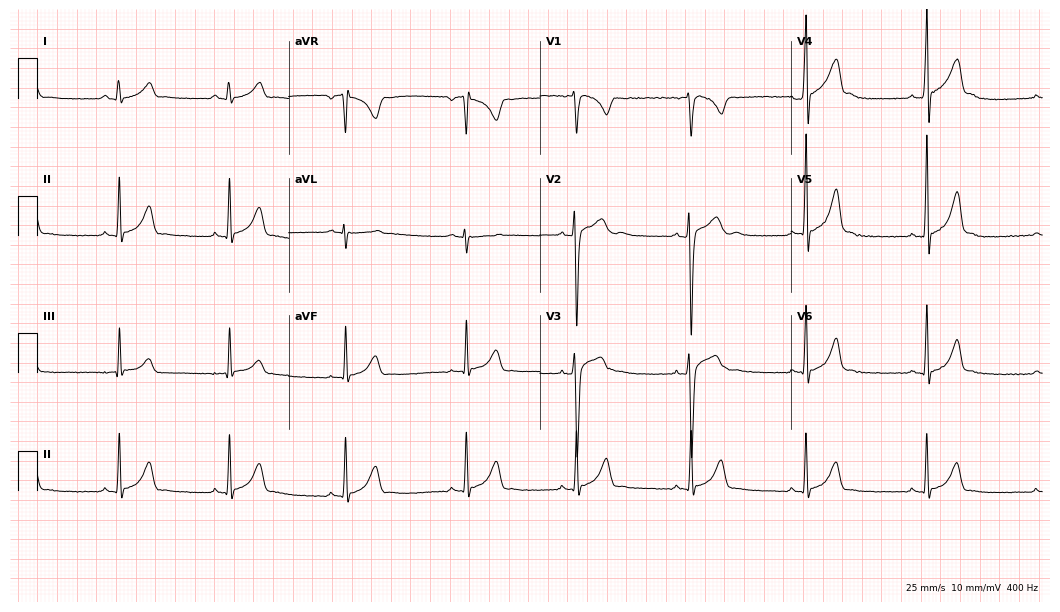
Resting 12-lead electrocardiogram (10.2-second recording at 400 Hz). Patient: a male, 17 years old. None of these six findings is recorded: first-degree AV block, right bundle branch block, left bundle branch block, sinus bradycardia, atrial fibrillation, sinus tachycardia.